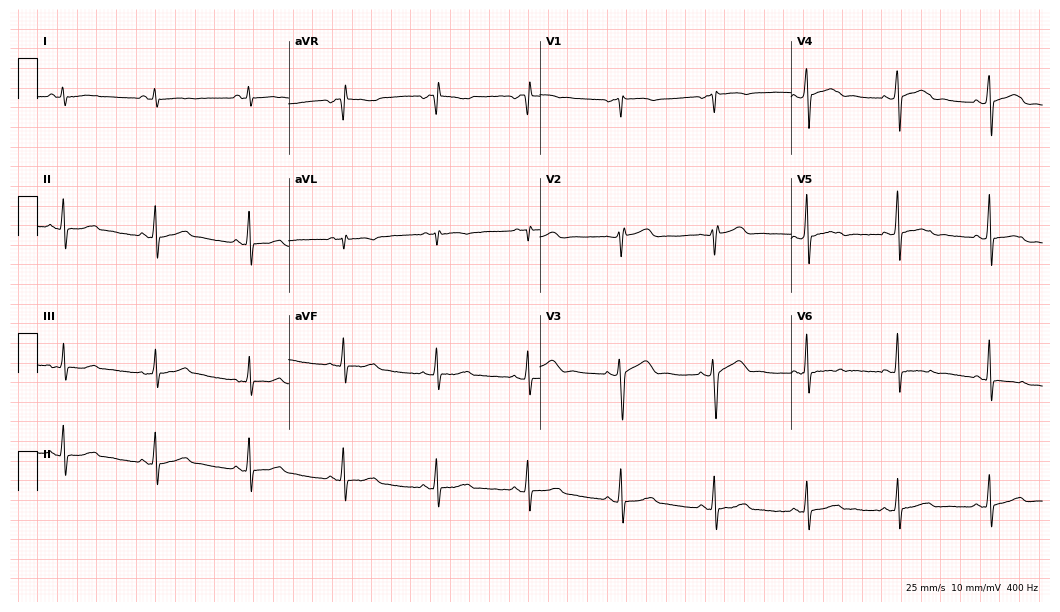
ECG (10.2-second recording at 400 Hz) — a woman, 52 years old. Screened for six findings — first-degree AV block, right bundle branch block (RBBB), left bundle branch block (LBBB), sinus bradycardia, atrial fibrillation (AF), sinus tachycardia — none is recorded.